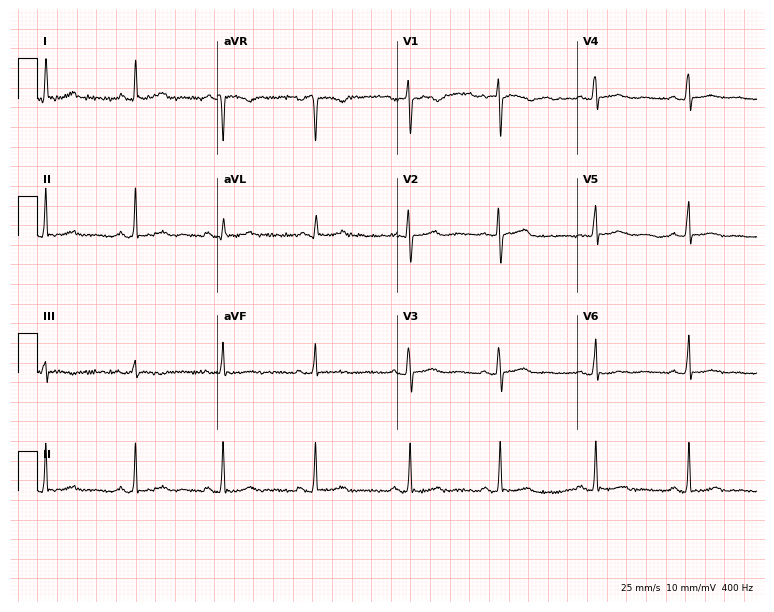
12-lead ECG from a female patient, 40 years old (7.3-second recording at 400 Hz). No first-degree AV block, right bundle branch block, left bundle branch block, sinus bradycardia, atrial fibrillation or sinus tachycardia recorded for this tracing. Findings outside these six are not listed.